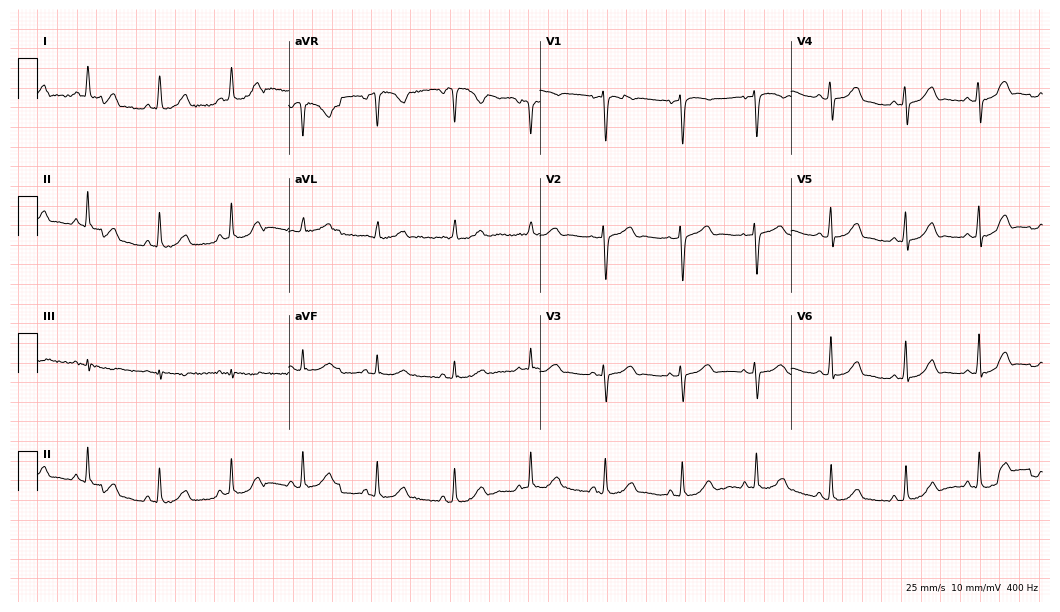
Resting 12-lead electrocardiogram (10.2-second recording at 400 Hz). Patient: a woman, 47 years old. Read as a normal ECG.